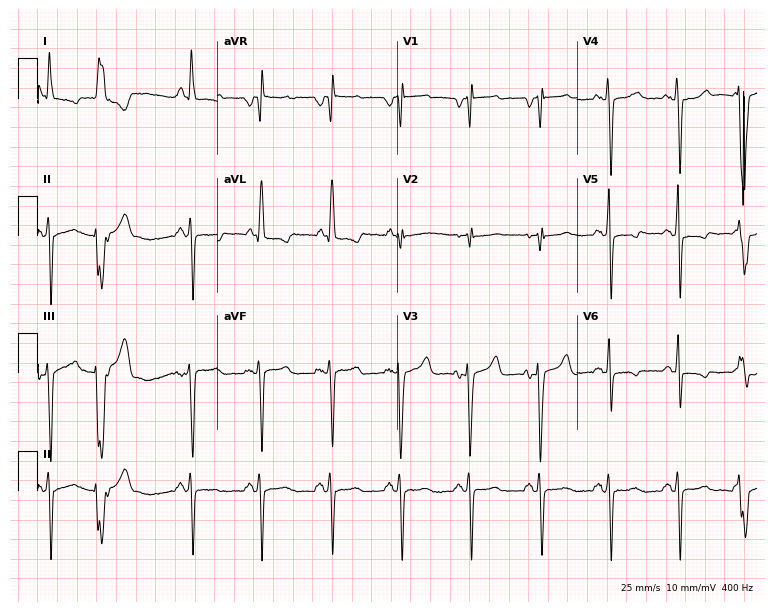
12-lead ECG from a 65-year-old woman (7.3-second recording at 400 Hz). No first-degree AV block, right bundle branch block, left bundle branch block, sinus bradycardia, atrial fibrillation or sinus tachycardia recorded for this tracing. Only these six findings were labelled.